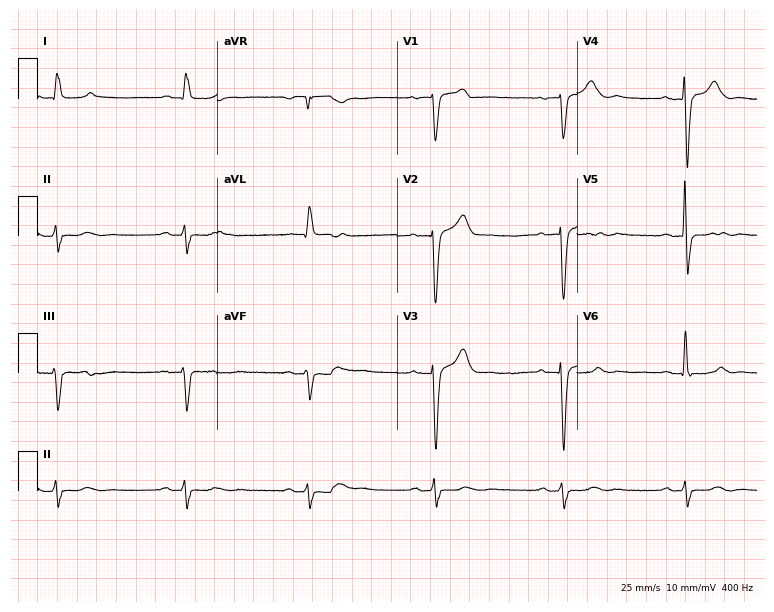
Resting 12-lead electrocardiogram. Patient: a male, 77 years old. The tracing shows sinus bradycardia (a sinus rate of 50 beats per minute or less).